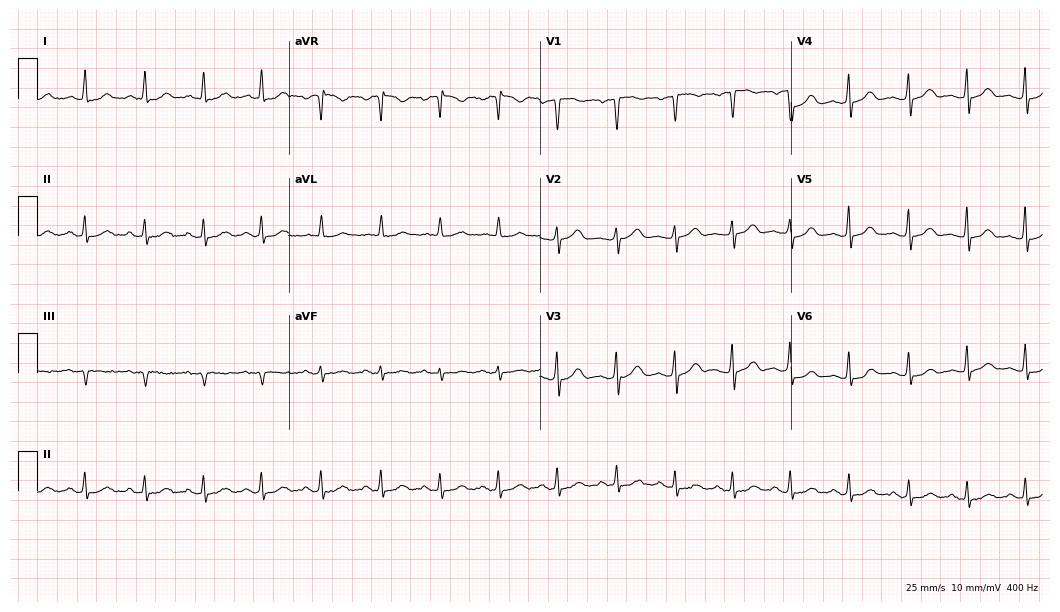
Standard 12-lead ECG recorded from a woman, 50 years old. Read as a normal ECG.